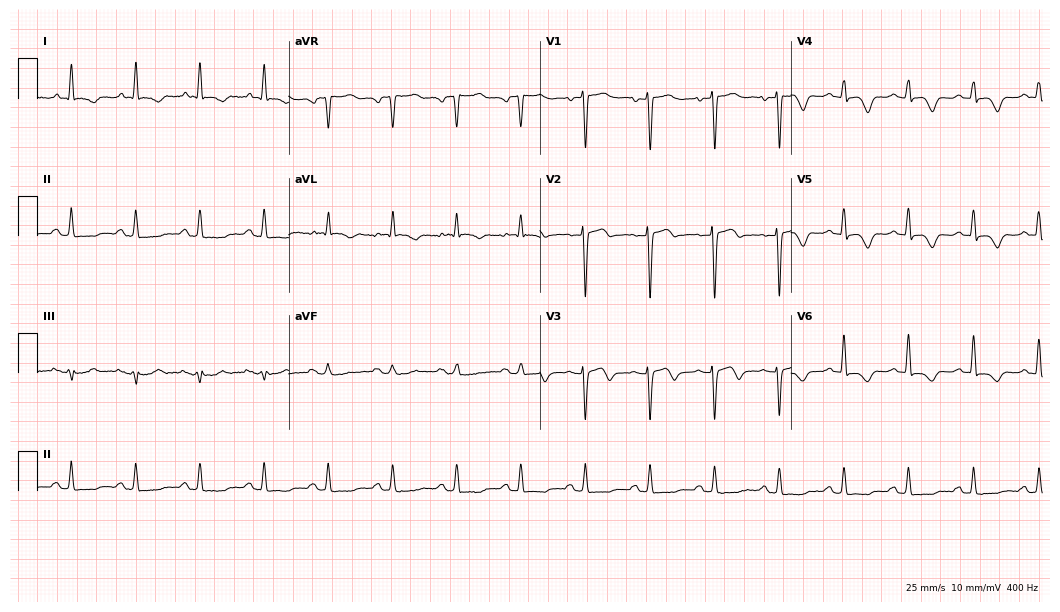
12-lead ECG from a female patient, 85 years old (10.2-second recording at 400 Hz). No first-degree AV block, right bundle branch block, left bundle branch block, sinus bradycardia, atrial fibrillation or sinus tachycardia recorded for this tracing.